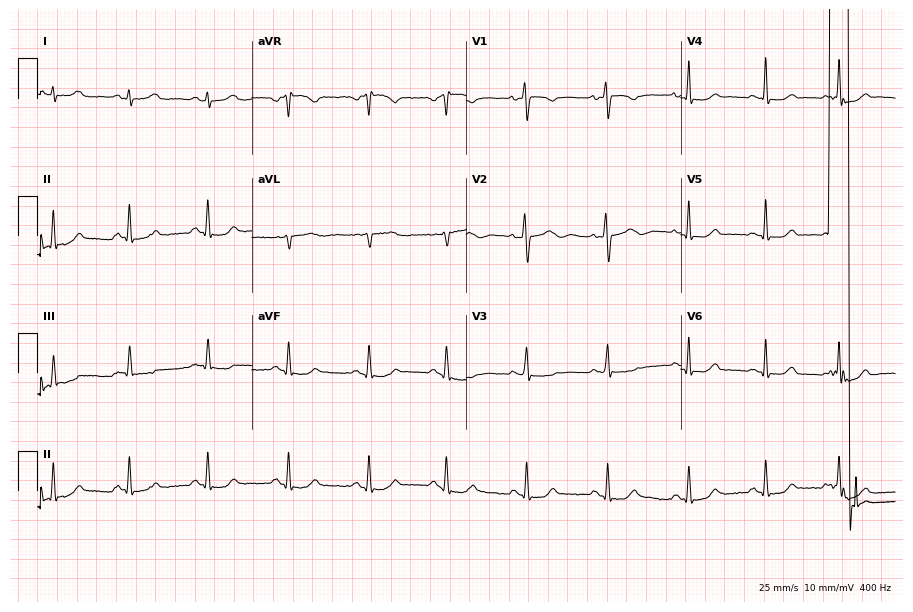
Standard 12-lead ECG recorded from a female patient, 23 years old (8.7-second recording at 400 Hz). Read as a normal ECG.